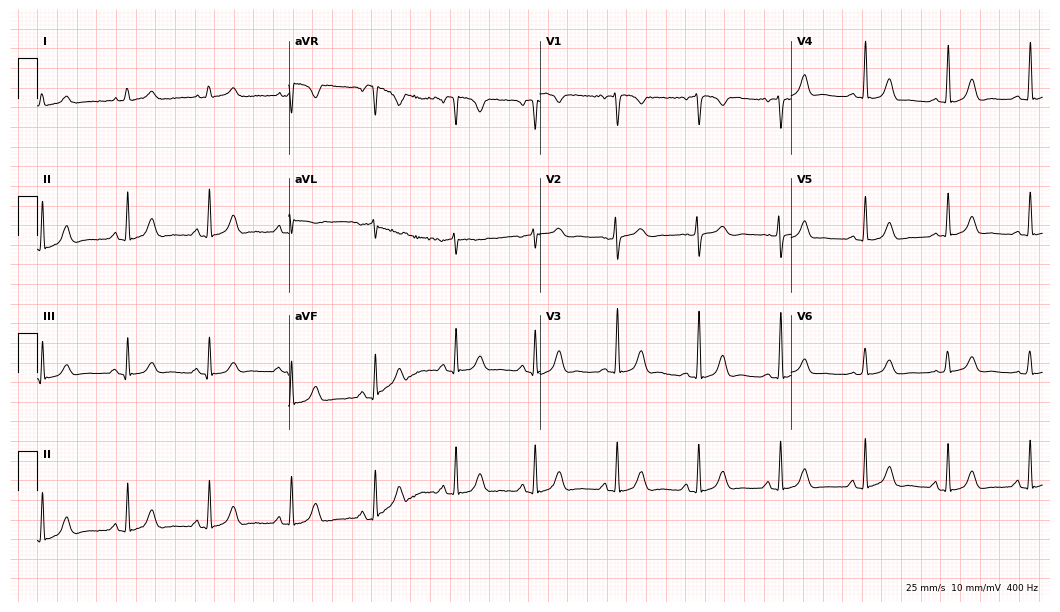
12-lead ECG from a female patient, 24 years old. No first-degree AV block, right bundle branch block, left bundle branch block, sinus bradycardia, atrial fibrillation or sinus tachycardia recorded for this tracing.